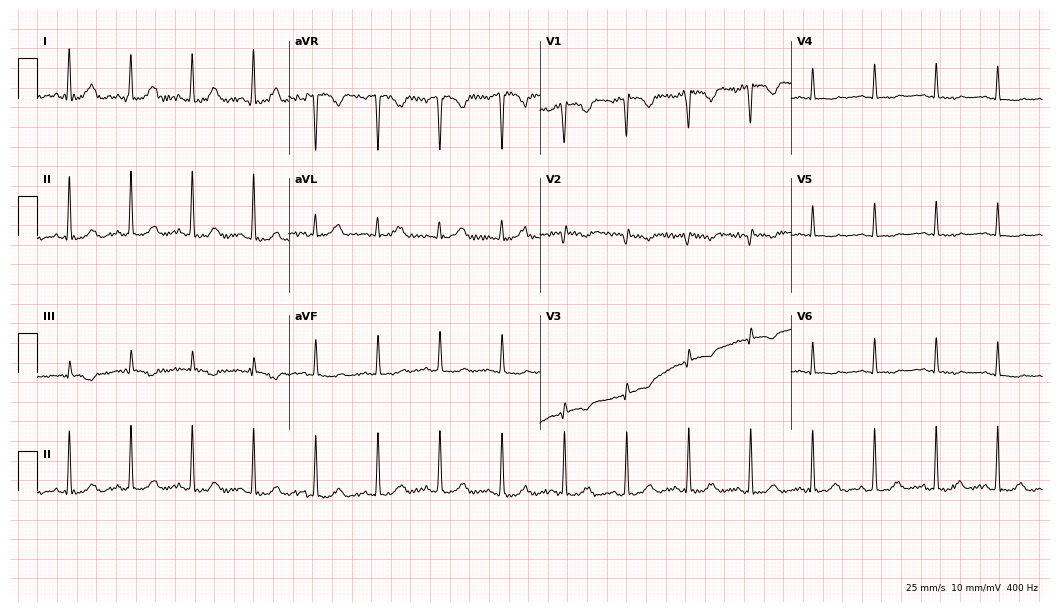
Electrocardiogram (10.2-second recording at 400 Hz), a woman, 72 years old. Of the six screened findings (first-degree AV block, right bundle branch block, left bundle branch block, sinus bradycardia, atrial fibrillation, sinus tachycardia), none is recorded. Other findings, if any, are not listed.